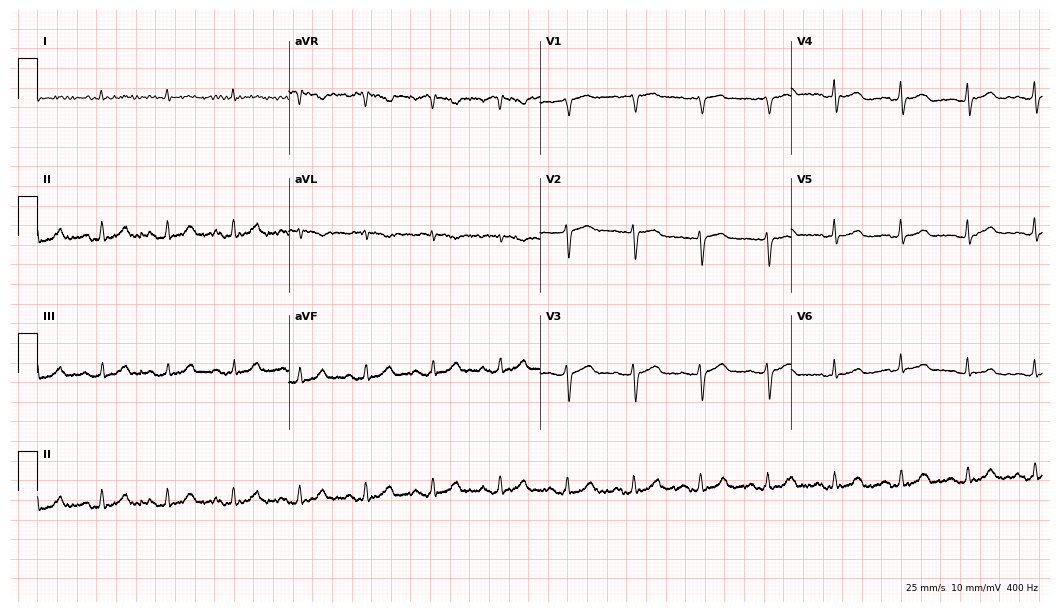
Standard 12-lead ECG recorded from a male, 61 years old. Read as a normal ECG.